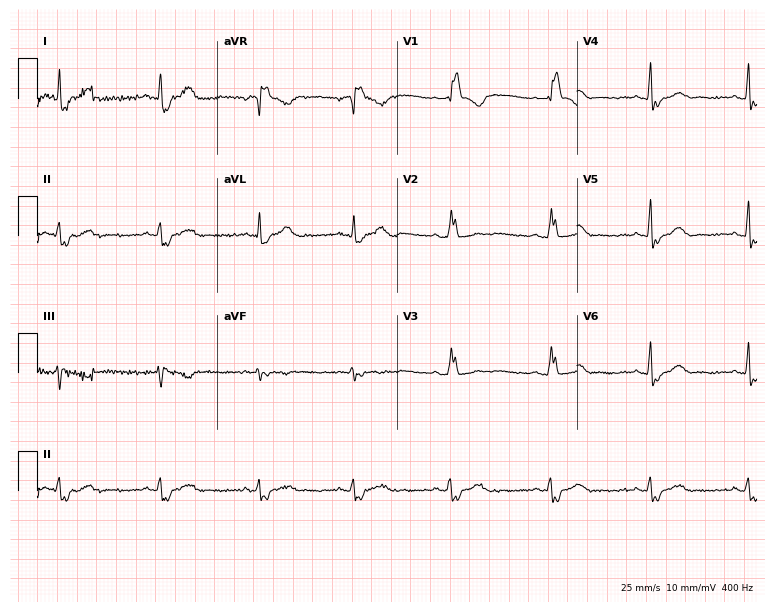
Standard 12-lead ECG recorded from a 62-year-old female. The tracing shows right bundle branch block.